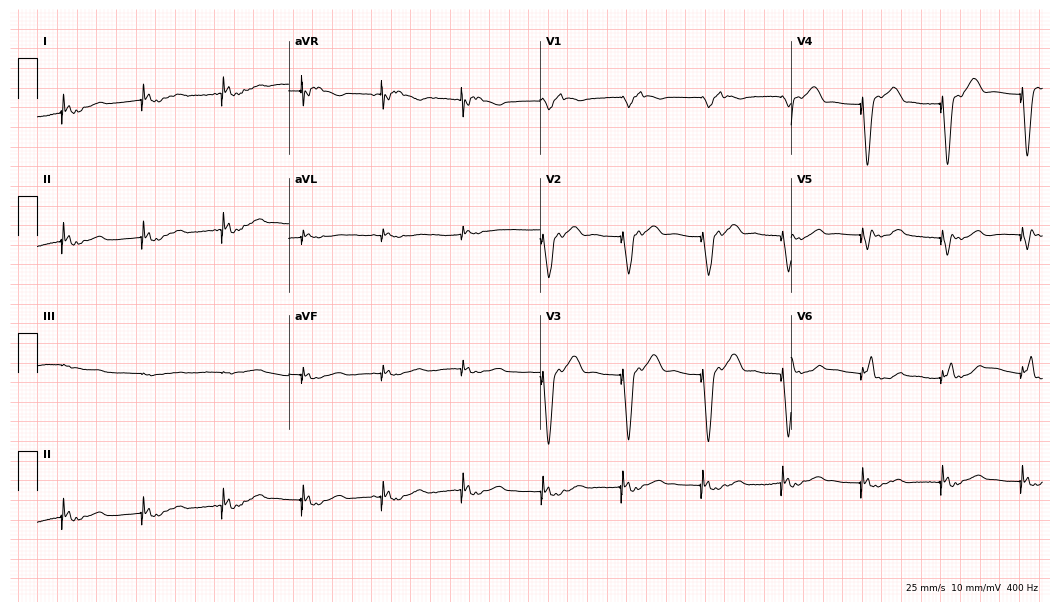
Electrocardiogram, a woman, 88 years old. Of the six screened findings (first-degree AV block, right bundle branch block (RBBB), left bundle branch block (LBBB), sinus bradycardia, atrial fibrillation (AF), sinus tachycardia), none is recorded.